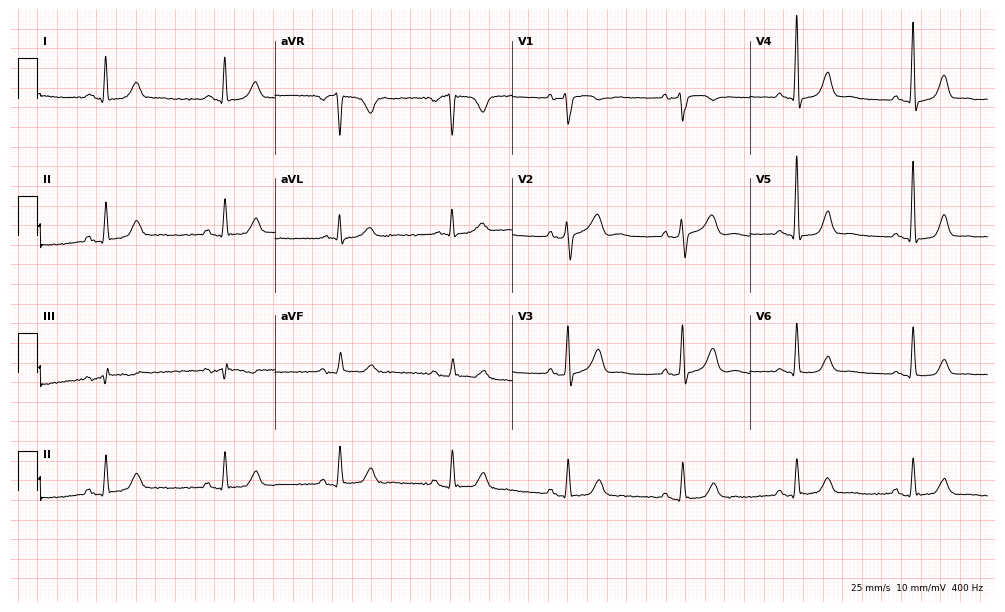
12-lead ECG from a 62-year-old female patient. Screened for six findings — first-degree AV block, right bundle branch block, left bundle branch block, sinus bradycardia, atrial fibrillation, sinus tachycardia — none is recorded.